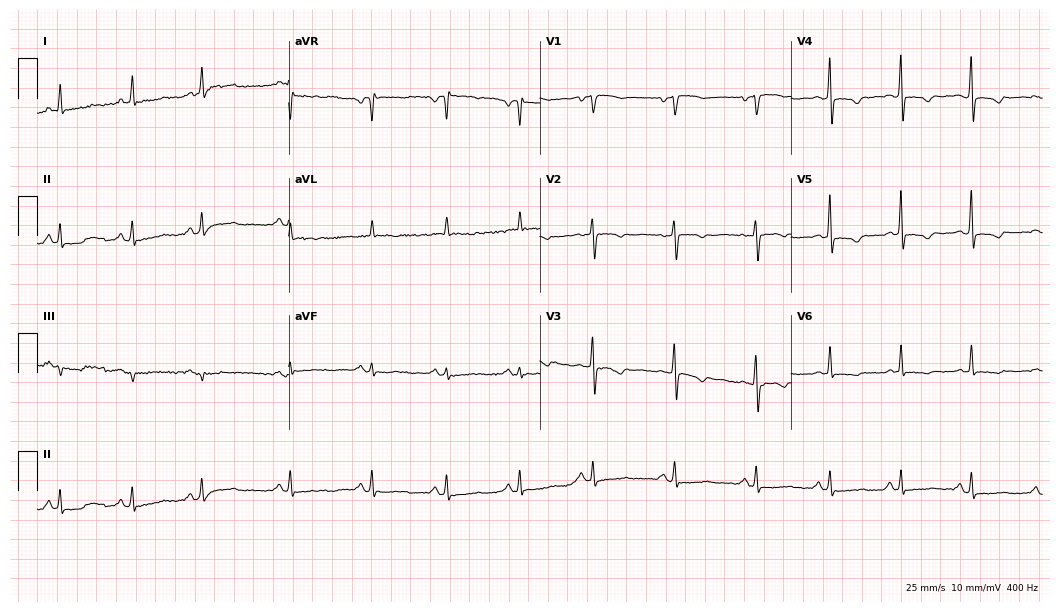
ECG — a woman, 76 years old. Screened for six findings — first-degree AV block, right bundle branch block (RBBB), left bundle branch block (LBBB), sinus bradycardia, atrial fibrillation (AF), sinus tachycardia — none is recorded. Findings outside these six are not listed.